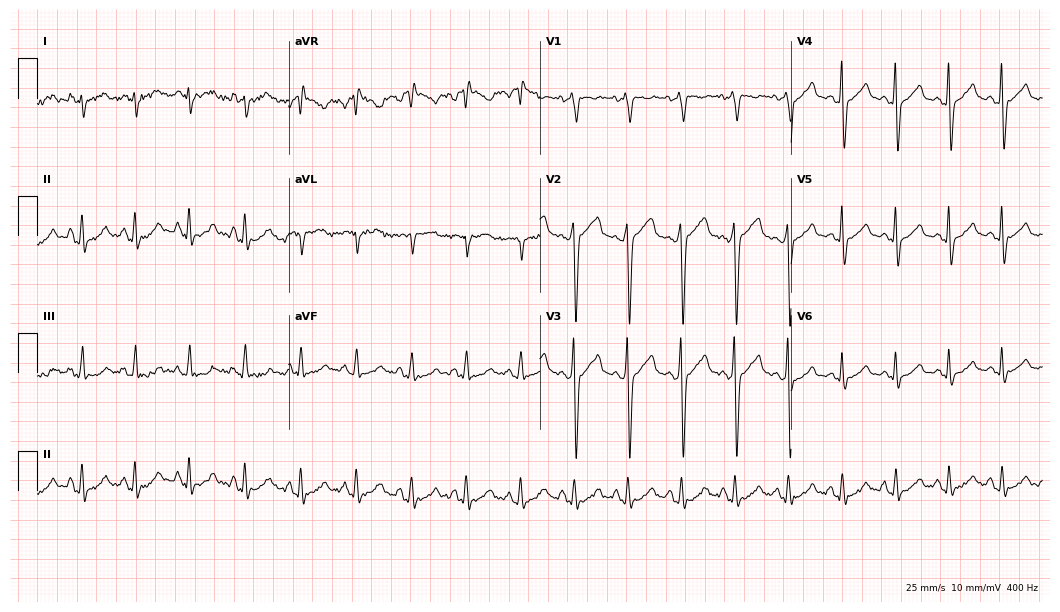
ECG — a male patient, 30 years old. Screened for six findings — first-degree AV block, right bundle branch block, left bundle branch block, sinus bradycardia, atrial fibrillation, sinus tachycardia — none is recorded. Only these six findings were labelled.